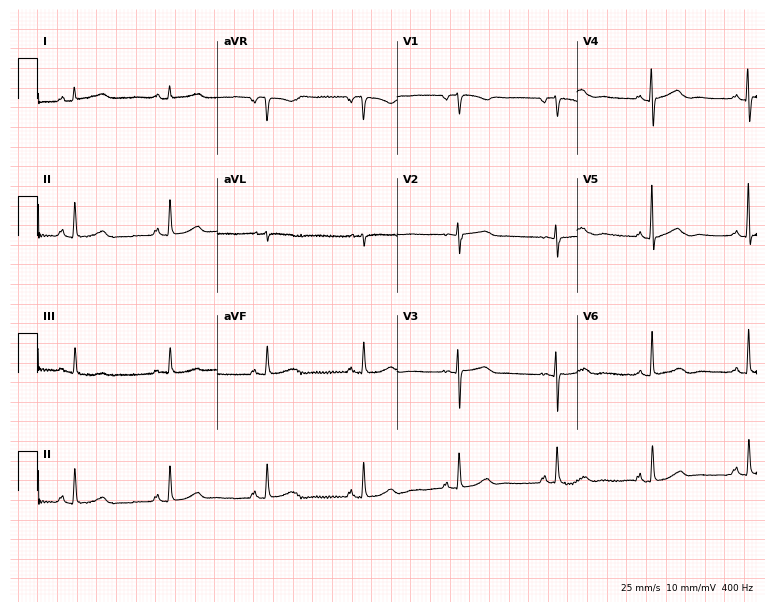
ECG — a female patient, 69 years old. Labelled as a normal ECG.